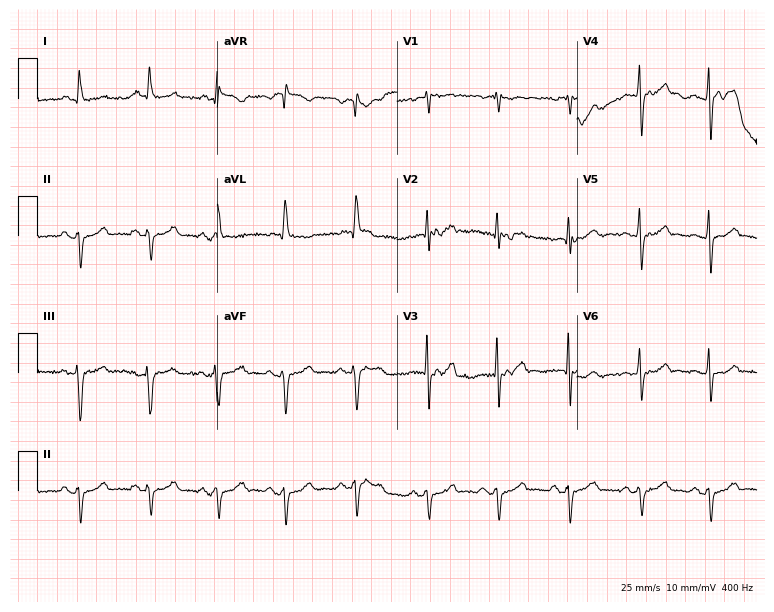
ECG (7.3-second recording at 400 Hz) — a female patient, 70 years old. Screened for six findings — first-degree AV block, right bundle branch block, left bundle branch block, sinus bradycardia, atrial fibrillation, sinus tachycardia — none is recorded. Findings outside these six are not listed.